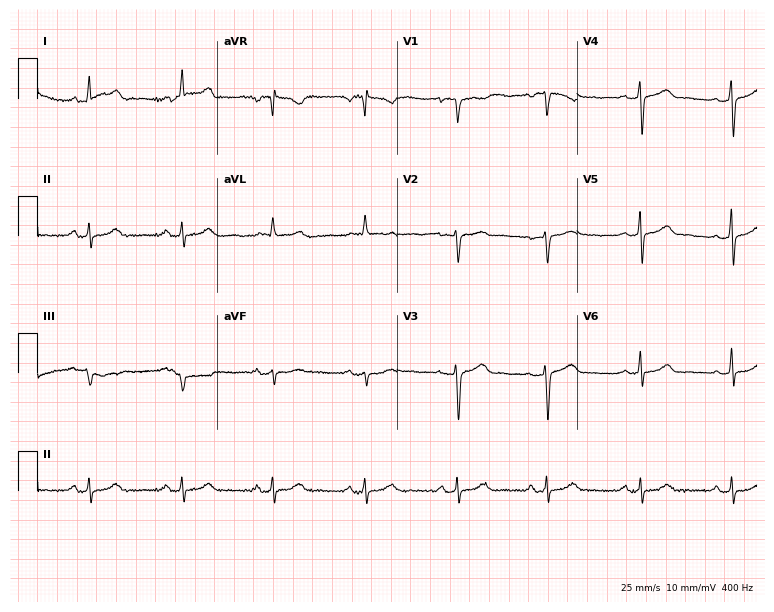
Standard 12-lead ECG recorded from a 35-year-old female. Read as a normal ECG.